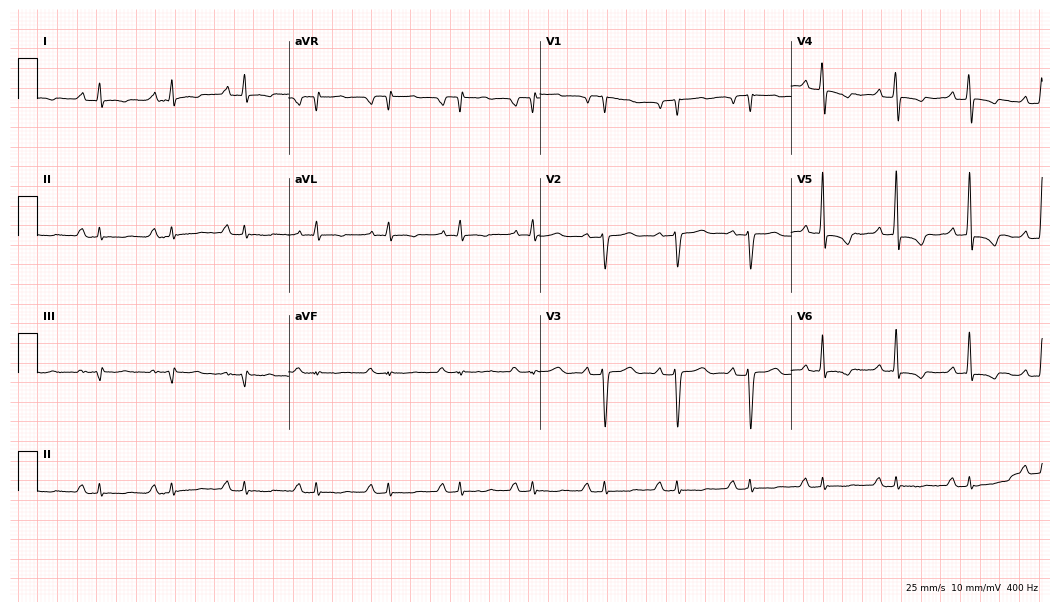
ECG — a male, 61 years old. Screened for six findings — first-degree AV block, right bundle branch block (RBBB), left bundle branch block (LBBB), sinus bradycardia, atrial fibrillation (AF), sinus tachycardia — none is recorded. Other findings, if any, are not listed.